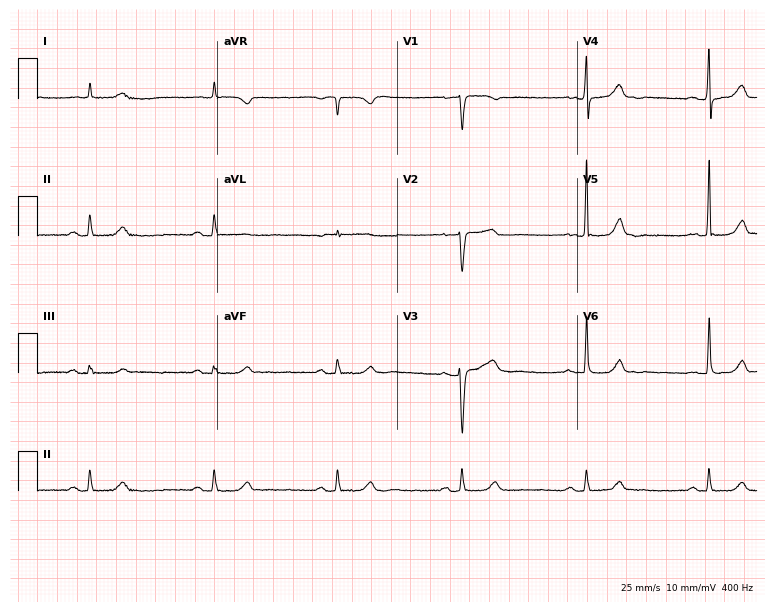
Resting 12-lead electrocardiogram (7.3-second recording at 400 Hz). Patient: an 83-year-old woman. The tracing shows sinus bradycardia (a sinus rate of 50 beats per minute or less).